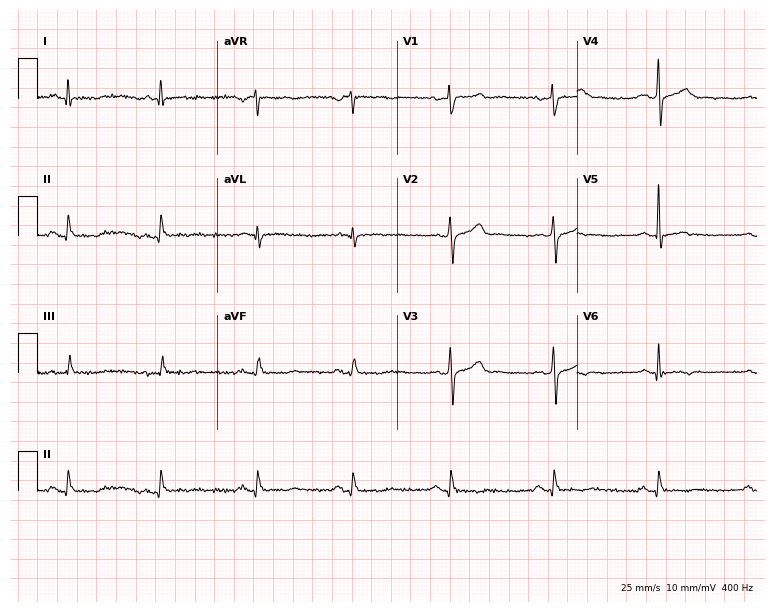
12-lead ECG from a man, 53 years old. Screened for six findings — first-degree AV block, right bundle branch block, left bundle branch block, sinus bradycardia, atrial fibrillation, sinus tachycardia — none is recorded. Findings outside these six are not listed.